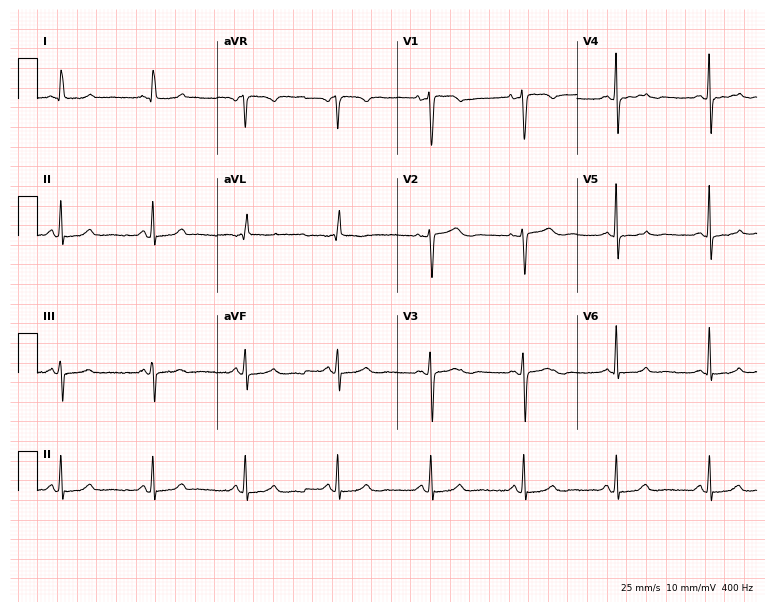
Resting 12-lead electrocardiogram. Patient: a 62-year-old female. Read as a normal ECG.